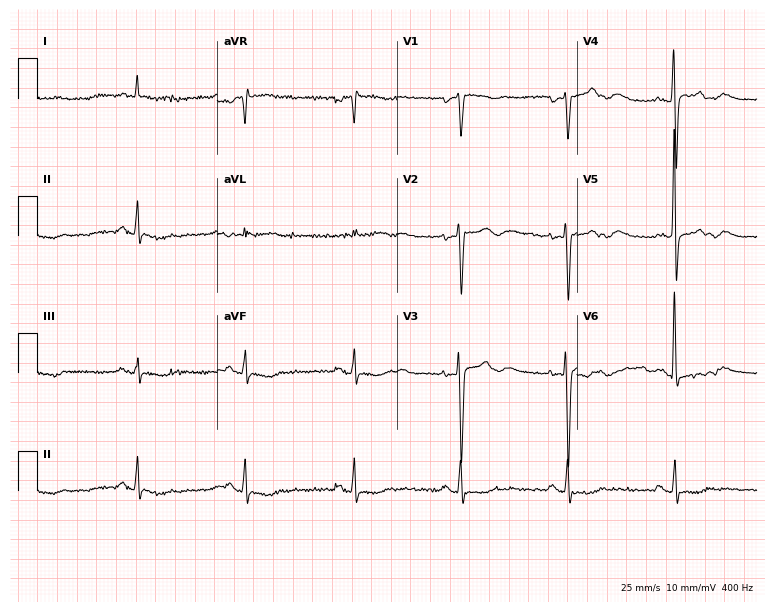
12-lead ECG from a 71-year-old male. No first-degree AV block, right bundle branch block, left bundle branch block, sinus bradycardia, atrial fibrillation or sinus tachycardia recorded for this tracing.